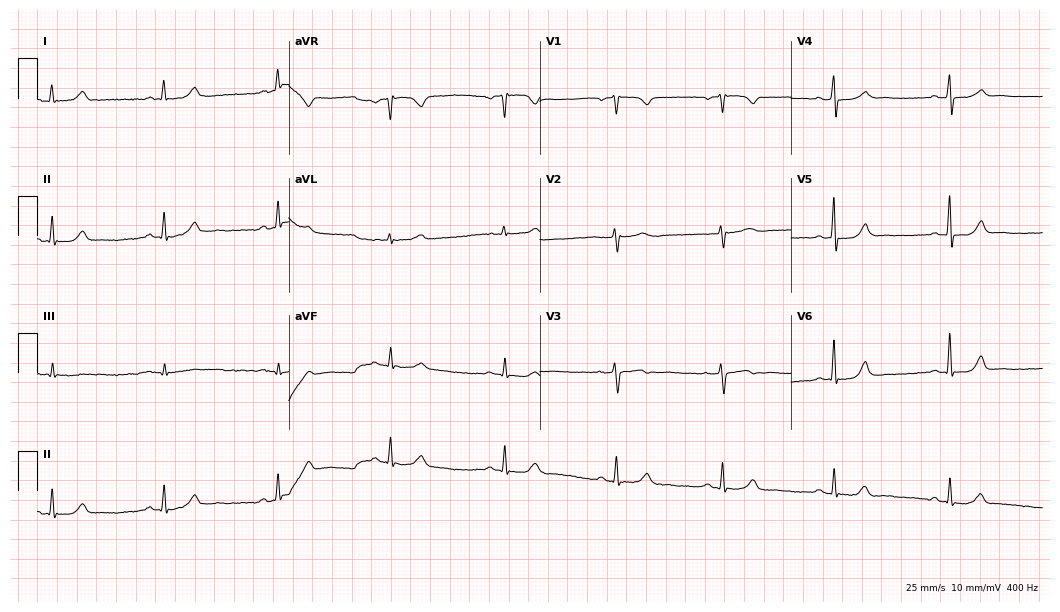
ECG — a female patient, 57 years old. Labelled as a normal ECG.